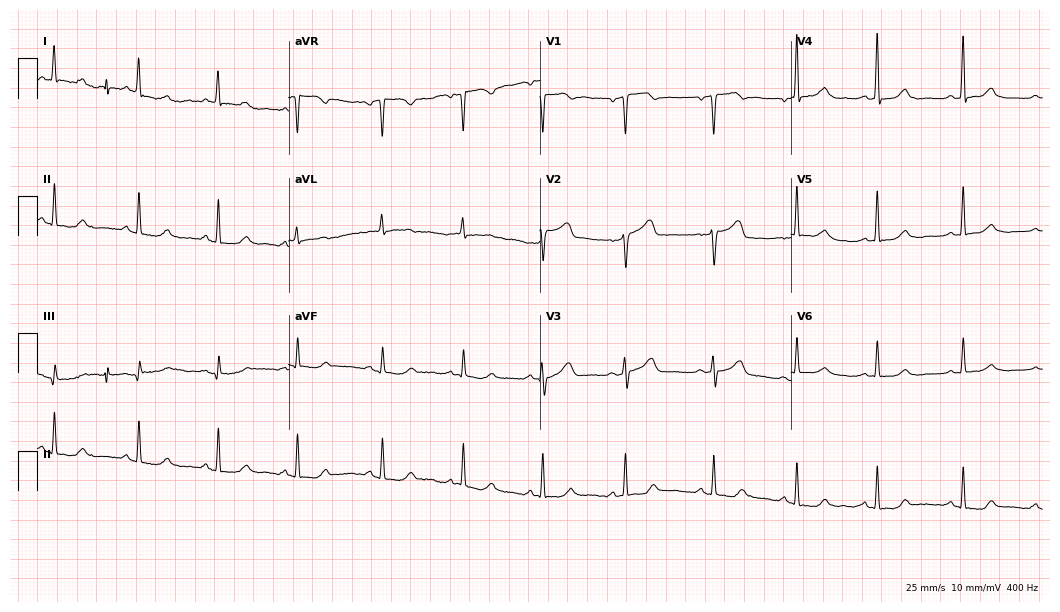
12-lead ECG (10.2-second recording at 400 Hz) from a 70-year-old female. Labelled as a normal ECG.